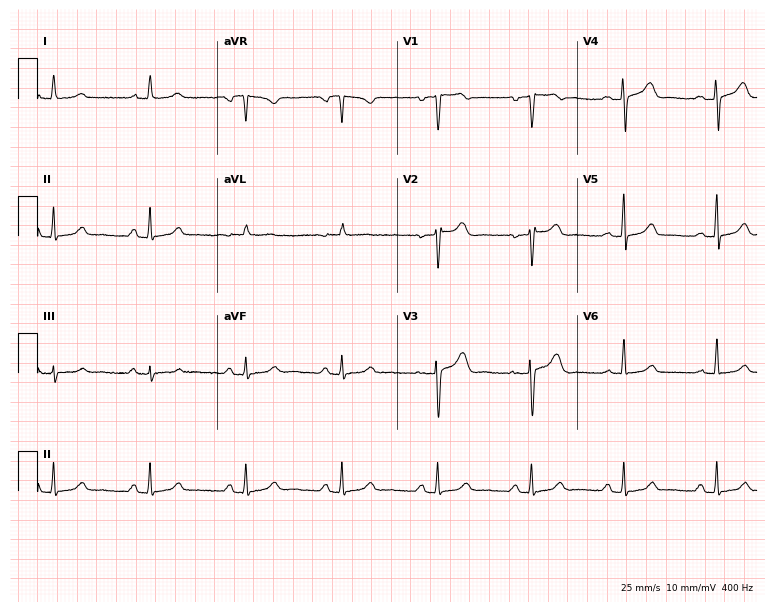
12-lead ECG (7.3-second recording at 400 Hz) from a 53-year-old woman. Labelled as a normal ECG.